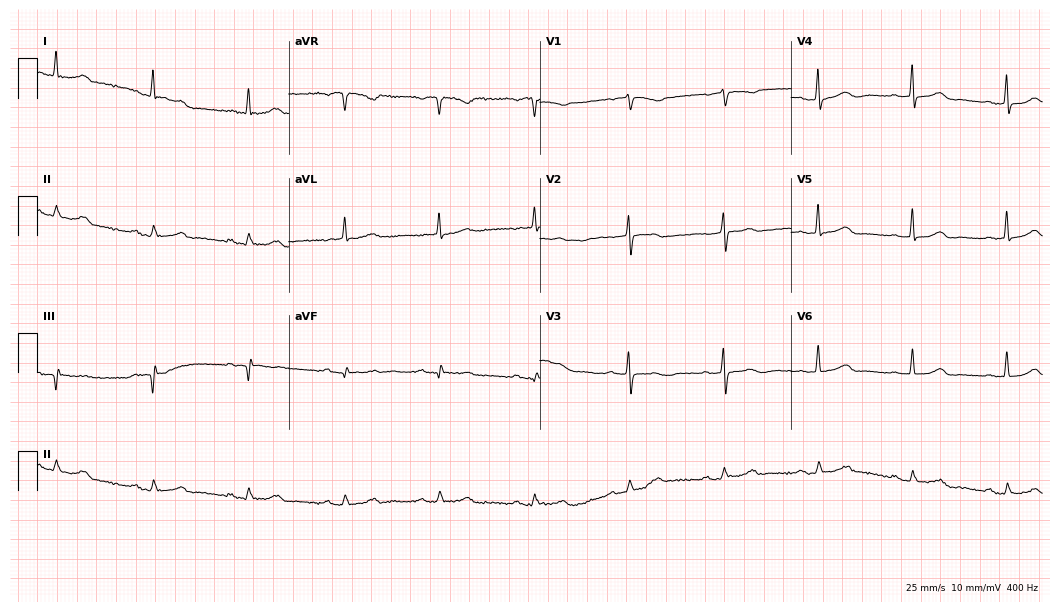
12-lead ECG from a 74-year-old woman. Recorded interpretation: within normal limits.